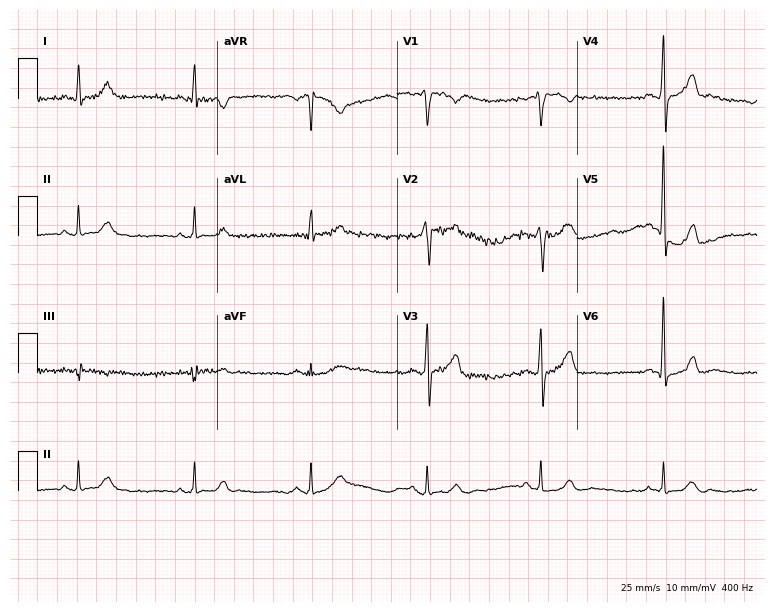
Electrocardiogram (7.3-second recording at 400 Hz), a male patient, 44 years old. Overall reading on record: normal ECG.